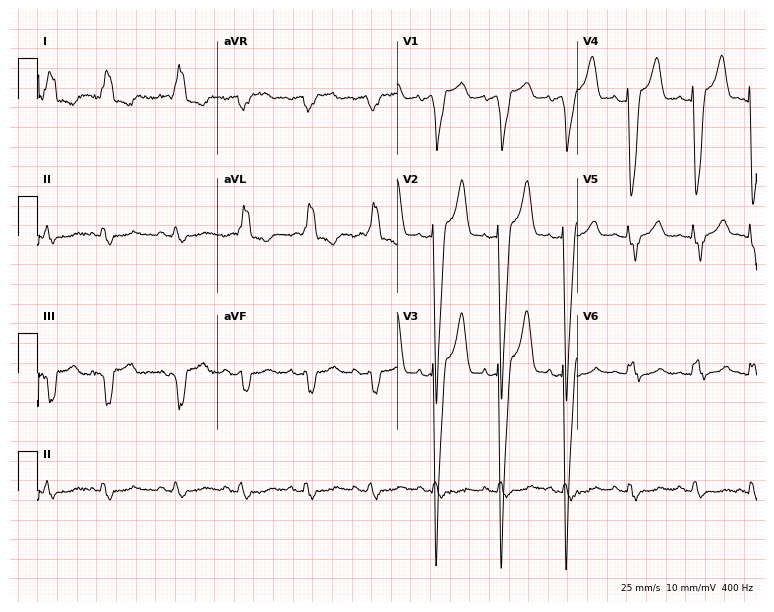
12-lead ECG from an 83-year-old woman (7.3-second recording at 400 Hz). Shows left bundle branch block.